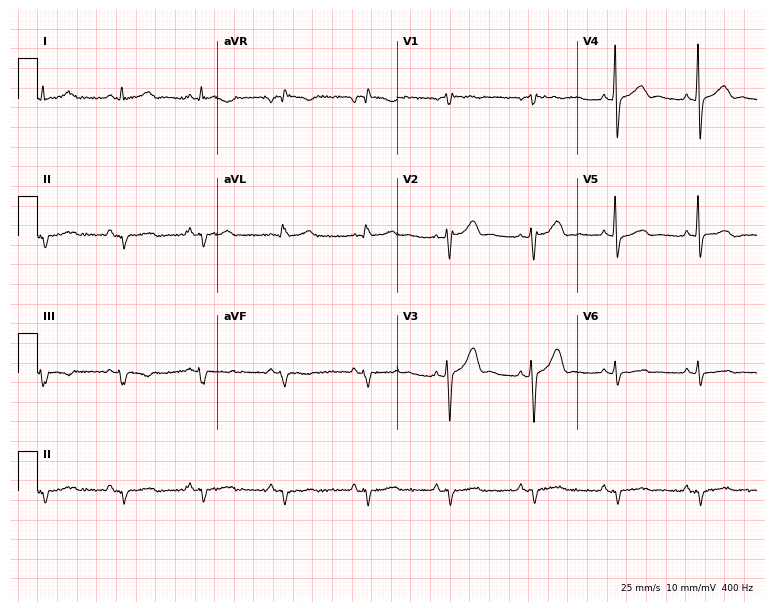
Resting 12-lead electrocardiogram (7.3-second recording at 400 Hz). Patient: a man, 48 years old. Read as a normal ECG.